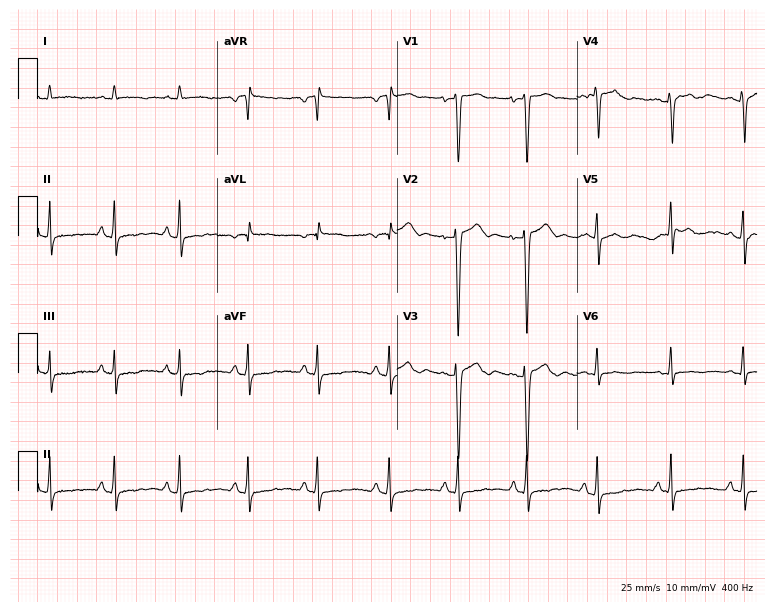
12-lead ECG from a 25-year-old male. No first-degree AV block, right bundle branch block (RBBB), left bundle branch block (LBBB), sinus bradycardia, atrial fibrillation (AF) or sinus tachycardia recorded for this tracing.